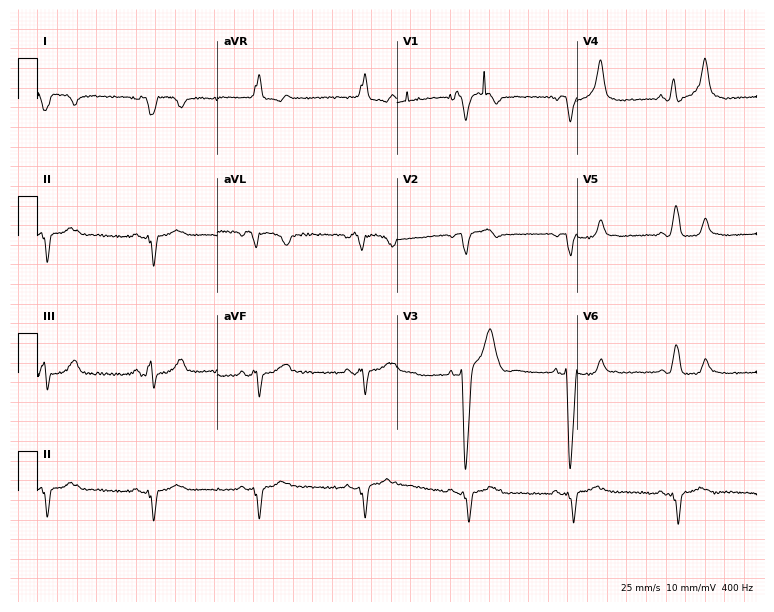
12-lead ECG from an 80-year-old woman (7.3-second recording at 400 Hz). No first-degree AV block, right bundle branch block (RBBB), left bundle branch block (LBBB), sinus bradycardia, atrial fibrillation (AF) or sinus tachycardia recorded for this tracing.